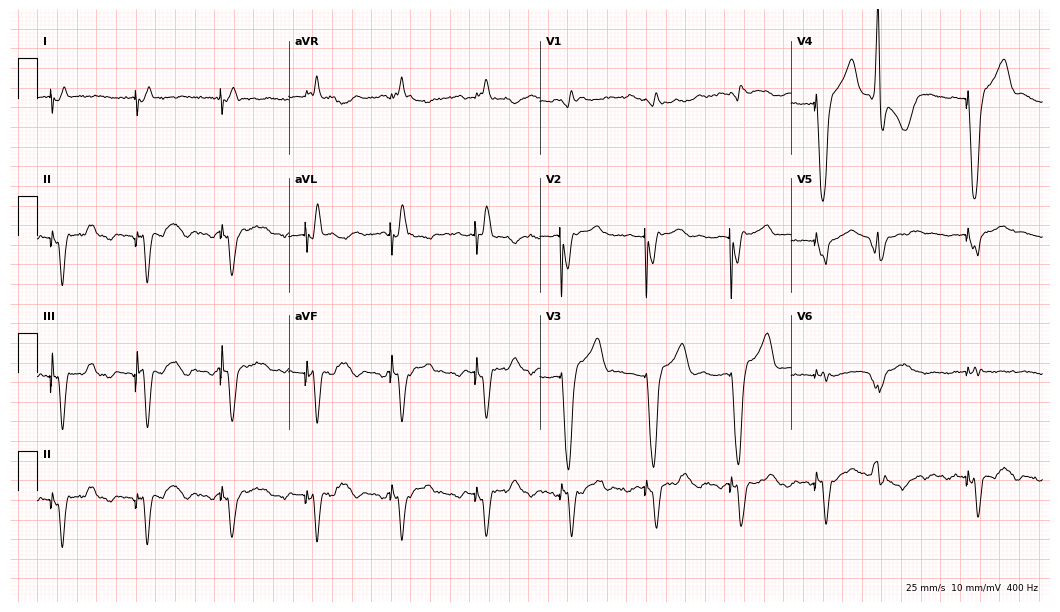
12-lead ECG from an 82-year-old male patient. No first-degree AV block, right bundle branch block, left bundle branch block, sinus bradycardia, atrial fibrillation or sinus tachycardia recorded for this tracing.